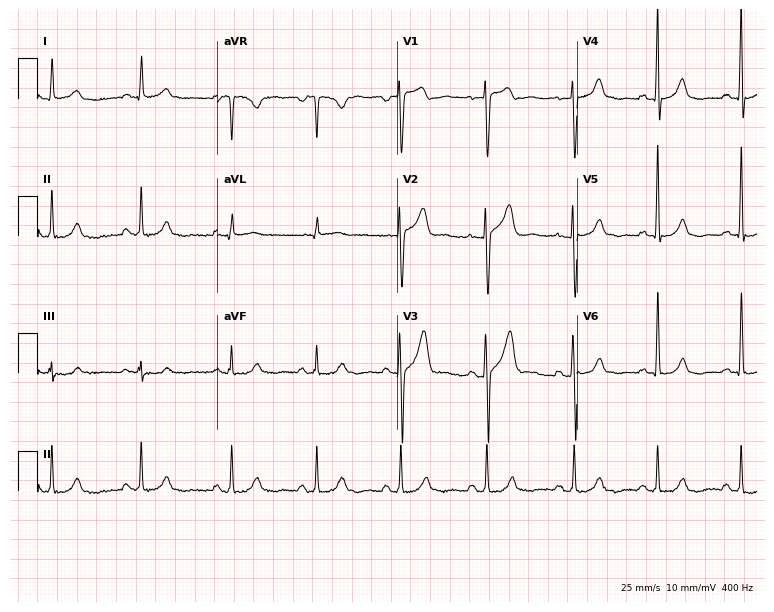
12-lead ECG from a man, 40 years old (7.3-second recording at 400 Hz). No first-degree AV block, right bundle branch block, left bundle branch block, sinus bradycardia, atrial fibrillation or sinus tachycardia recorded for this tracing.